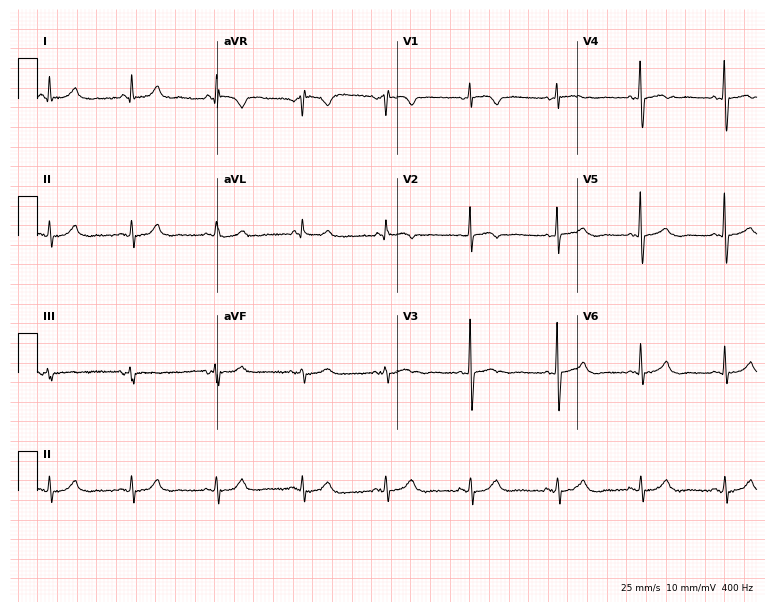
Standard 12-lead ECG recorded from a 52-year-old female patient (7.3-second recording at 400 Hz). None of these six findings is recorded: first-degree AV block, right bundle branch block, left bundle branch block, sinus bradycardia, atrial fibrillation, sinus tachycardia. Only these six findings were labelled.